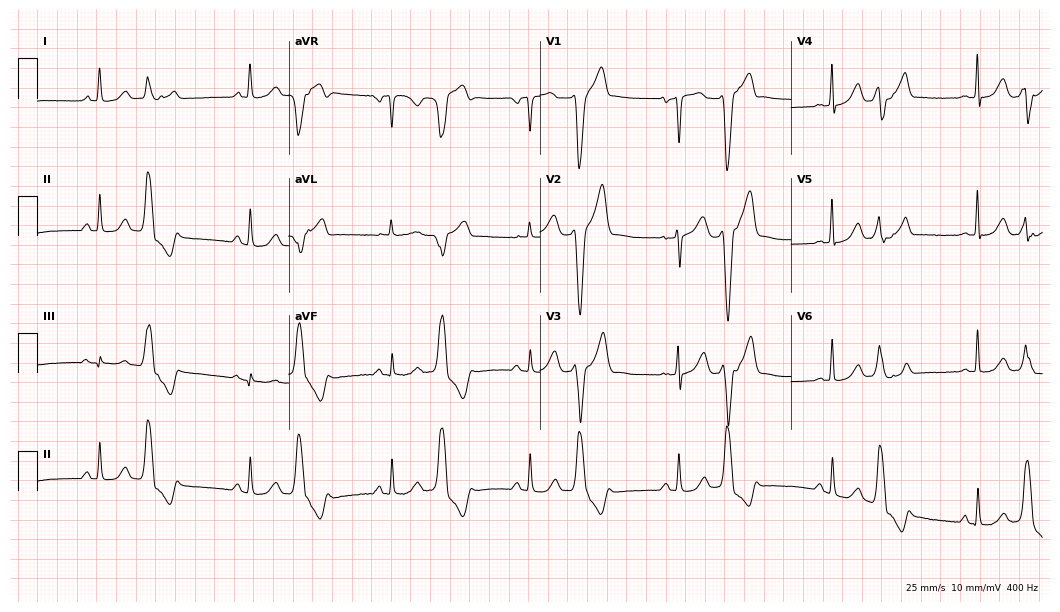
12-lead ECG from a 57-year-old woman (10.2-second recording at 400 Hz). No first-degree AV block, right bundle branch block (RBBB), left bundle branch block (LBBB), sinus bradycardia, atrial fibrillation (AF) or sinus tachycardia recorded for this tracing. Findings outside these six are not listed.